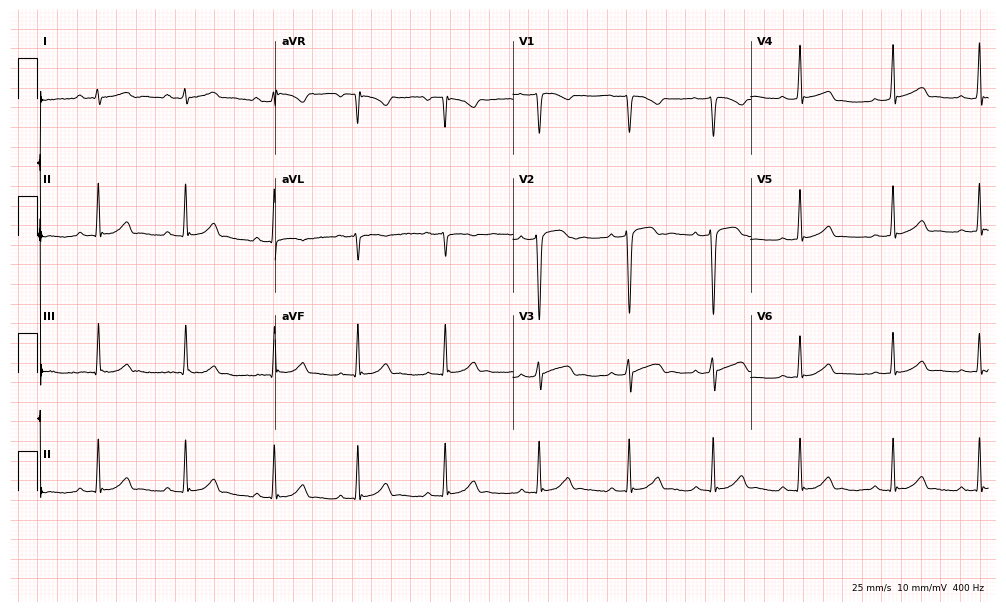
Electrocardiogram (9.7-second recording at 400 Hz), a woman, 23 years old. Overall reading on record: normal ECG.